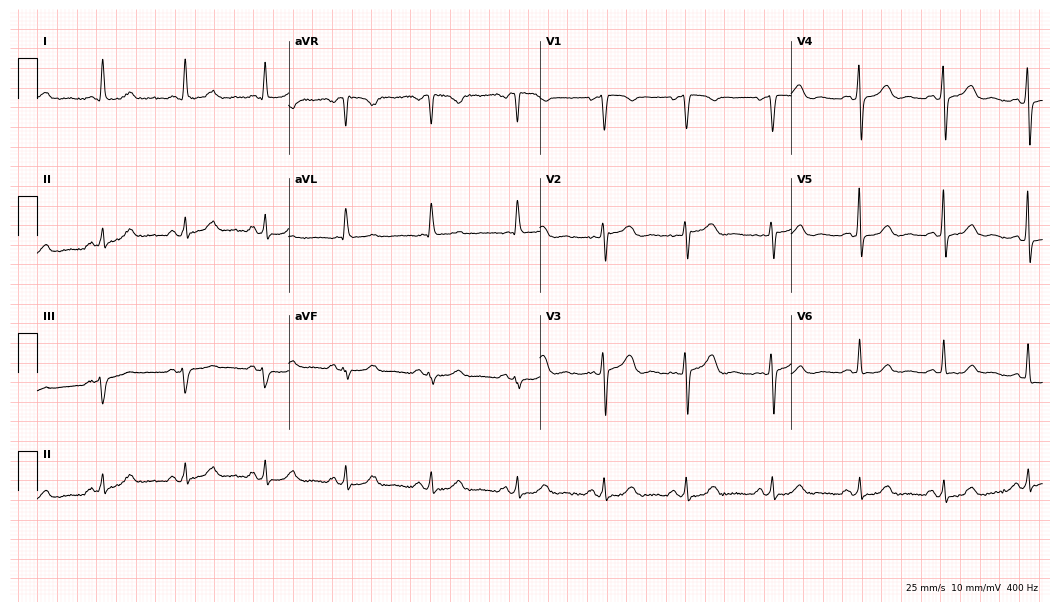
12-lead ECG from a 57-year-old female. Labelled as a normal ECG.